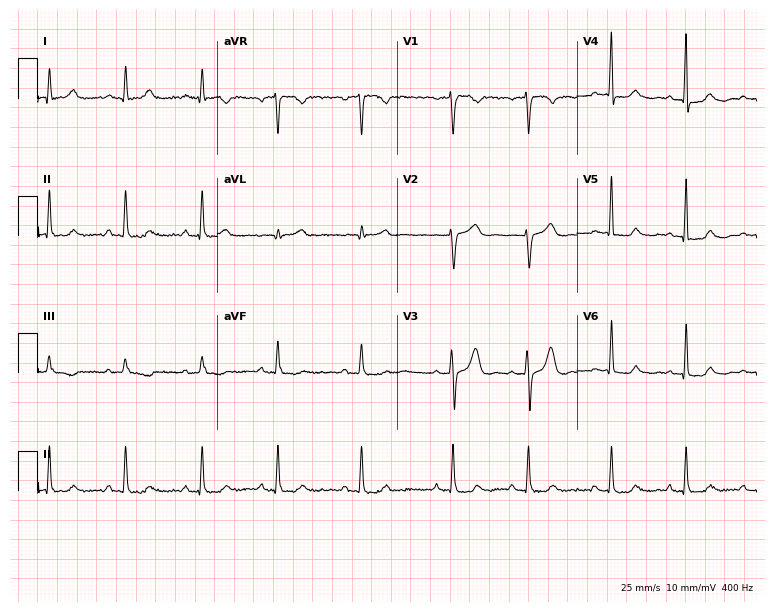
12-lead ECG (7.3-second recording at 400 Hz) from a female patient, 42 years old. Labelled as a normal ECG.